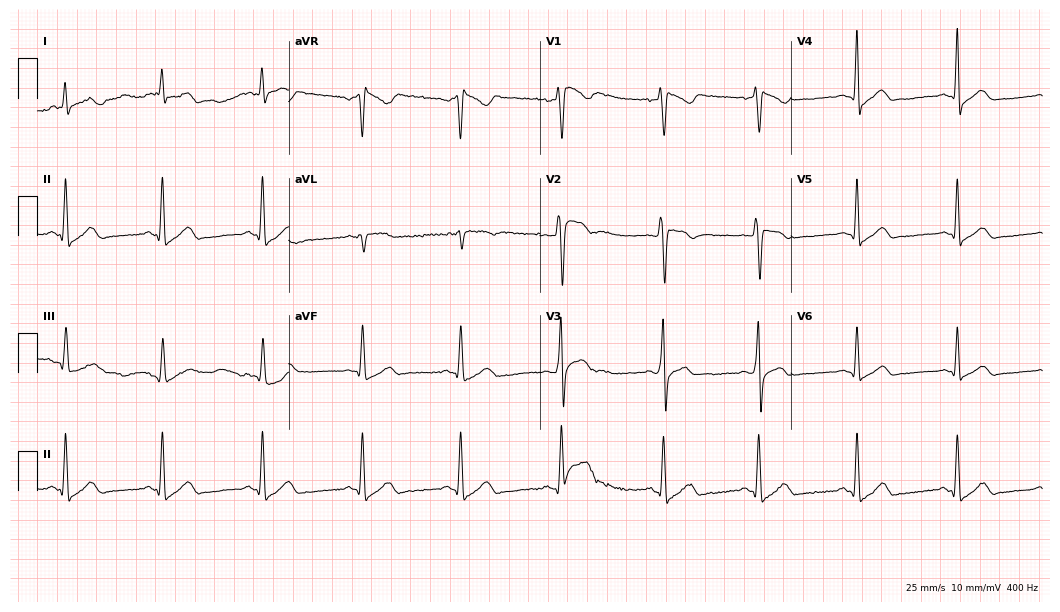
12-lead ECG (10.2-second recording at 400 Hz) from a 38-year-old male patient. Screened for six findings — first-degree AV block, right bundle branch block, left bundle branch block, sinus bradycardia, atrial fibrillation, sinus tachycardia — none is recorded. Findings outside these six are not listed.